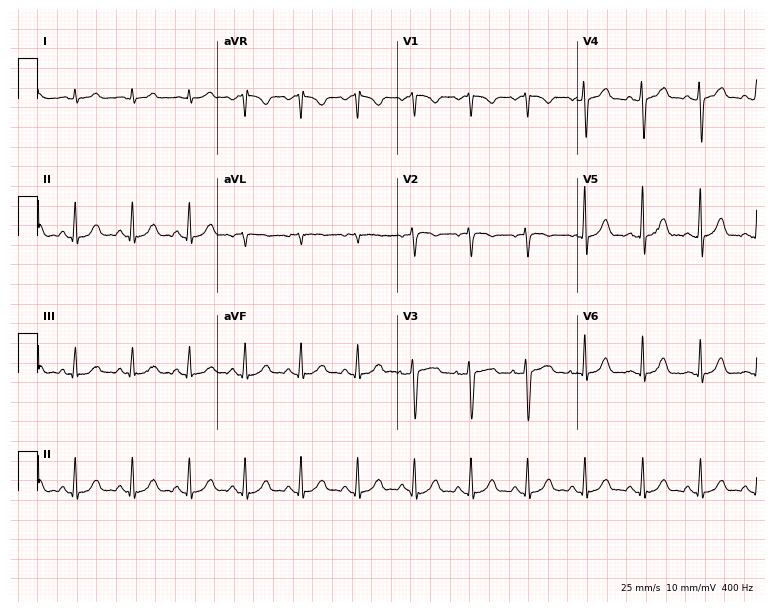
Electrocardiogram (7.3-second recording at 400 Hz), a male, 35 years old. Interpretation includes sinus tachycardia (a sinus rate of 100 beats per minute or more).